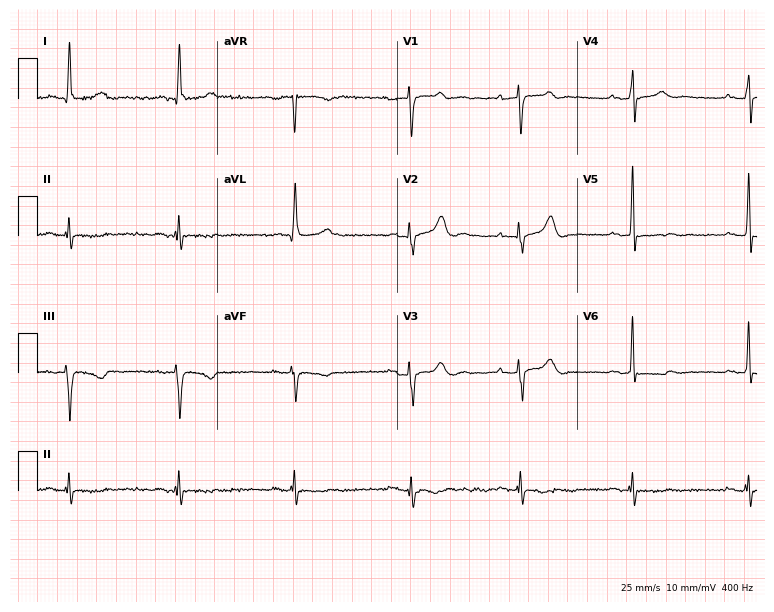
12-lead ECG (7.3-second recording at 400 Hz) from a man, 69 years old. Screened for six findings — first-degree AV block, right bundle branch block, left bundle branch block, sinus bradycardia, atrial fibrillation, sinus tachycardia — none is recorded.